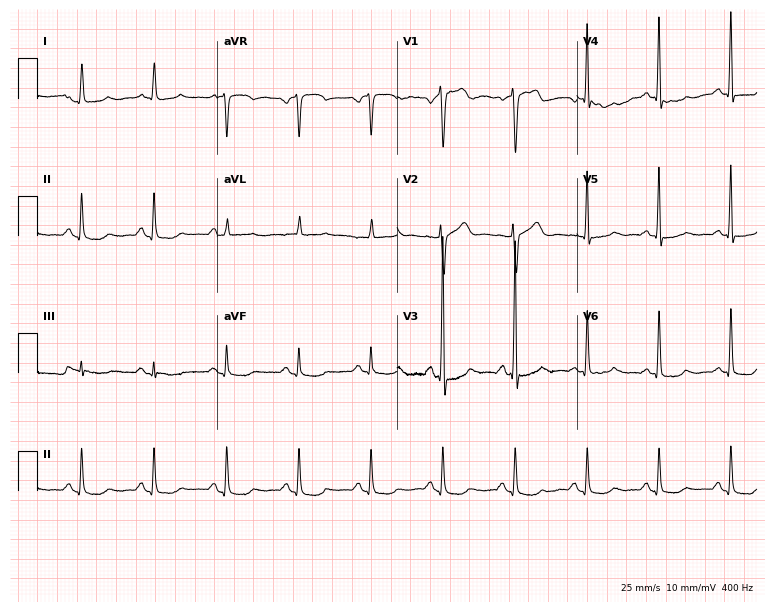
Resting 12-lead electrocardiogram (7.3-second recording at 400 Hz). Patient: a 65-year-old male. None of these six findings is recorded: first-degree AV block, right bundle branch block (RBBB), left bundle branch block (LBBB), sinus bradycardia, atrial fibrillation (AF), sinus tachycardia.